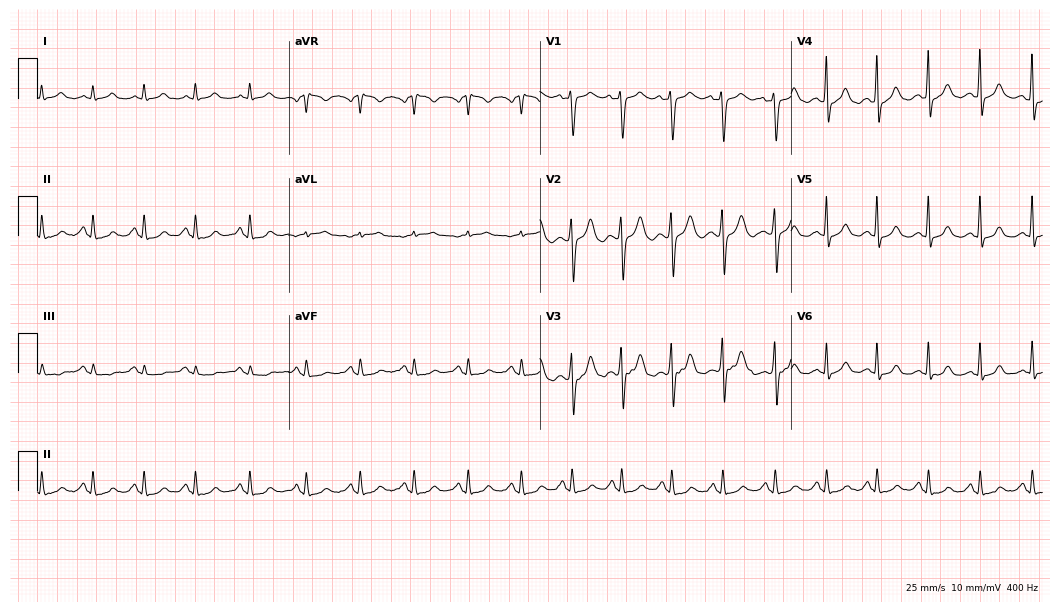
Electrocardiogram (10.2-second recording at 400 Hz), a 46-year-old female patient. Interpretation includes sinus tachycardia (a sinus rate of 100 beats per minute or more).